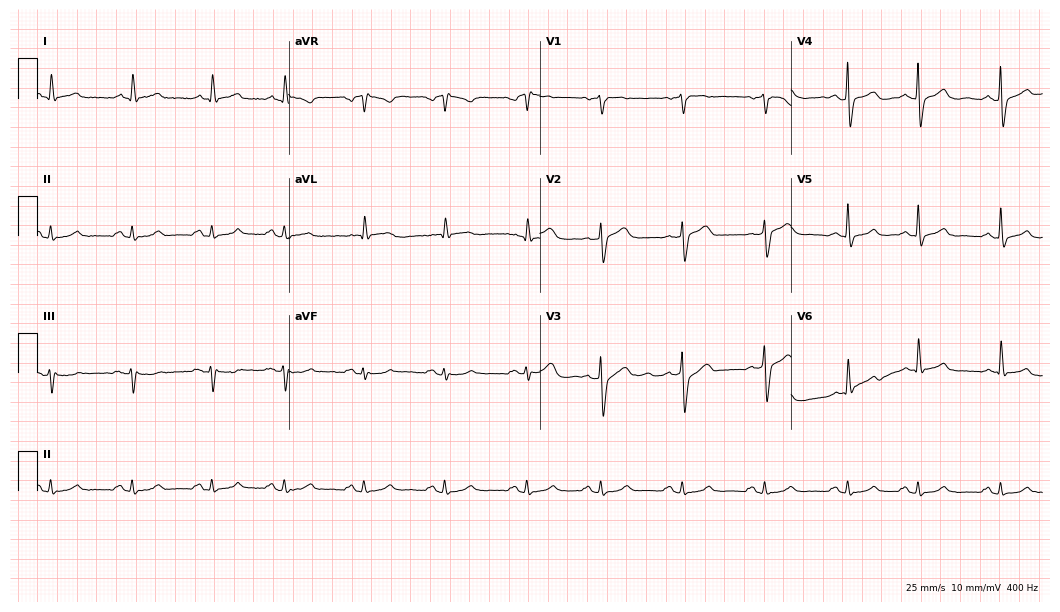
ECG (10.2-second recording at 400 Hz) — a 55-year-old male patient. Labelled as a normal ECG.